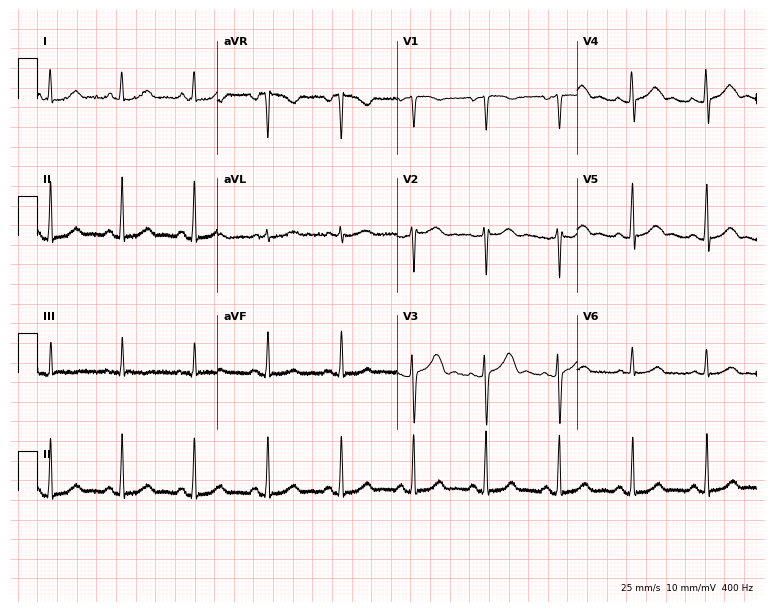
Resting 12-lead electrocardiogram. Patient: a 59-year-old woman. None of these six findings is recorded: first-degree AV block, right bundle branch block (RBBB), left bundle branch block (LBBB), sinus bradycardia, atrial fibrillation (AF), sinus tachycardia.